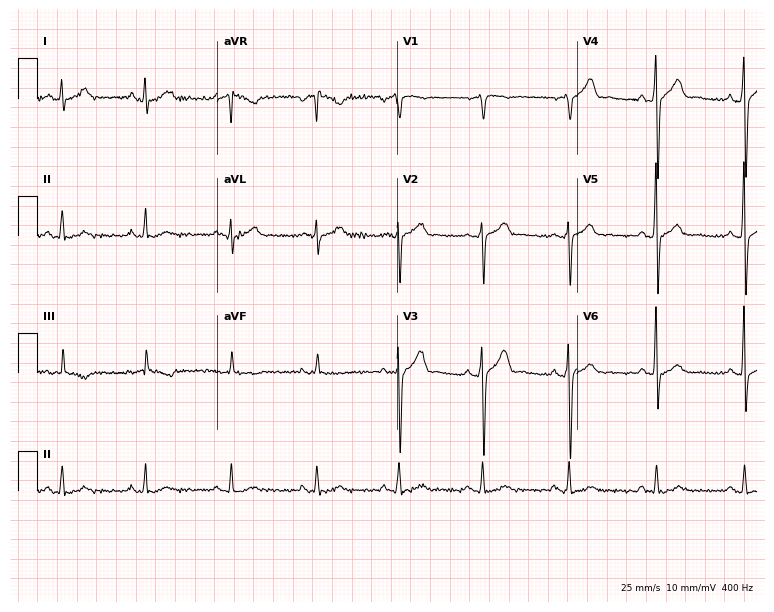
12-lead ECG from a 37-year-old male patient (7.3-second recording at 400 Hz). Recorded interpretation: within normal limits.